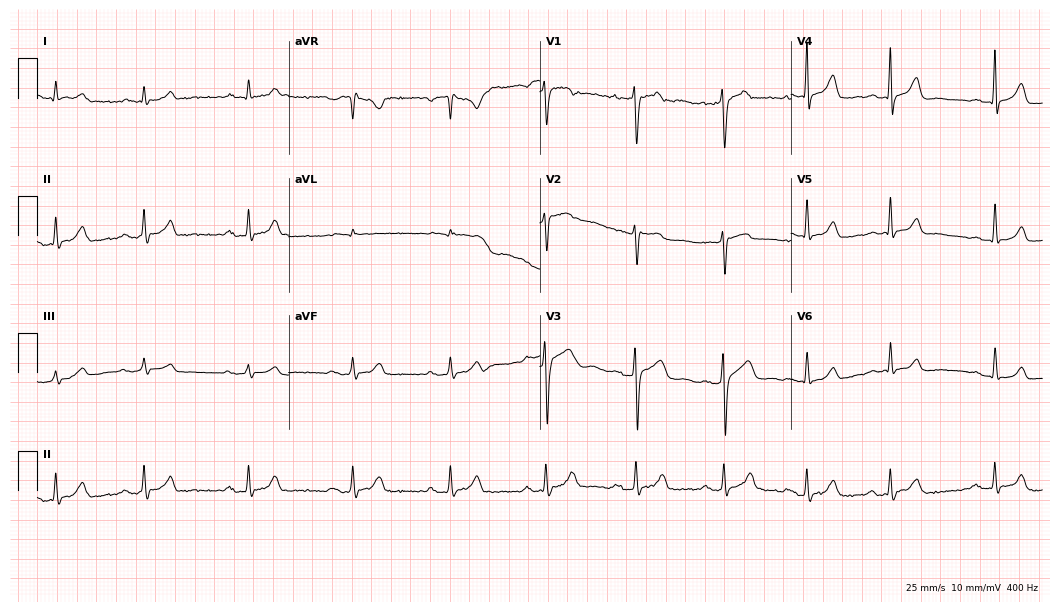
ECG (10.2-second recording at 400 Hz) — a 26-year-old male. Labelled as a normal ECG.